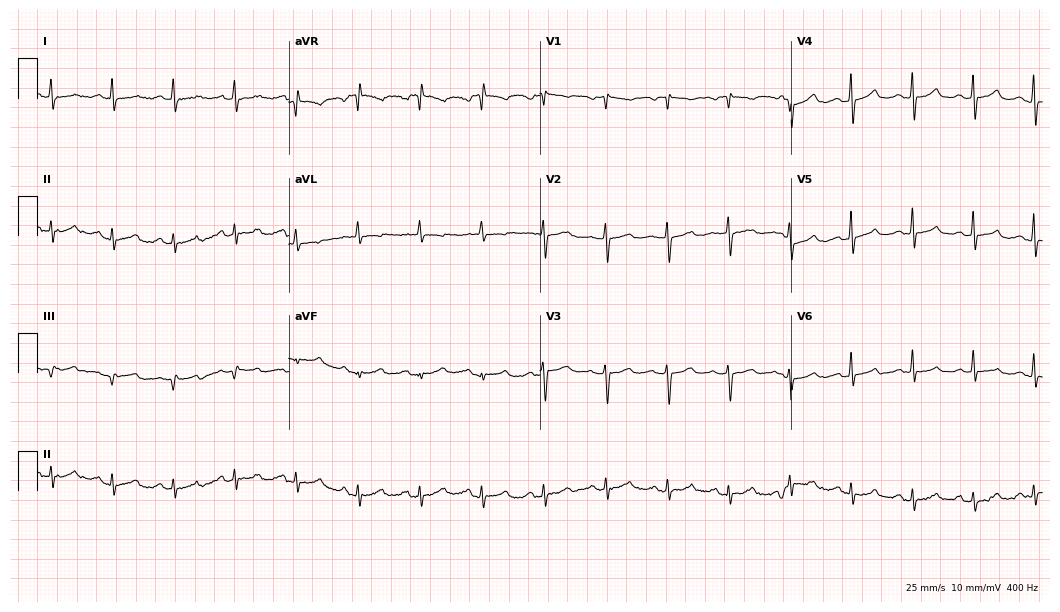
Electrocardiogram, a woman, 63 years old. Of the six screened findings (first-degree AV block, right bundle branch block (RBBB), left bundle branch block (LBBB), sinus bradycardia, atrial fibrillation (AF), sinus tachycardia), none is recorded. Only these six findings were labelled.